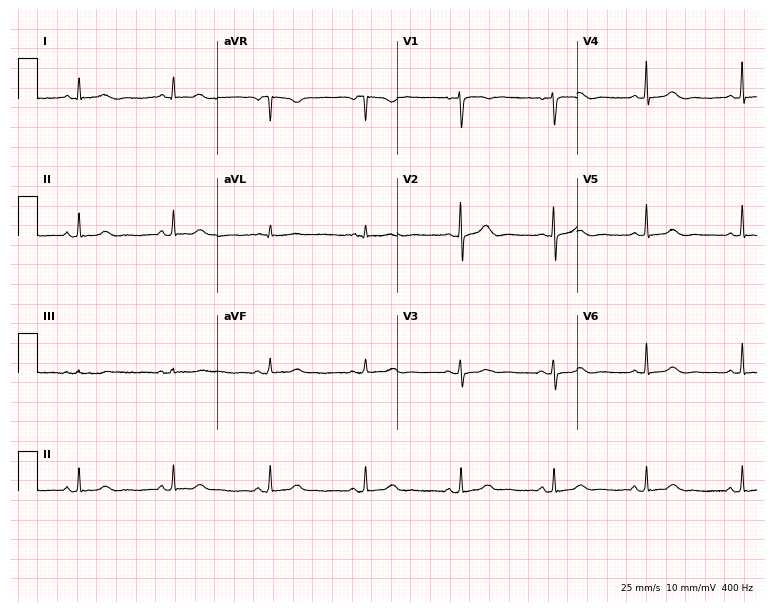
Electrocardiogram (7.3-second recording at 400 Hz), a 63-year-old female patient. Of the six screened findings (first-degree AV block, right bundle branch block (RBBB), left bundle branch block (LBBB), sinus bradycardia, atrial fibrillation (AF), sinus tachycardia), none is recorded. Other findings, if any, are not listed.